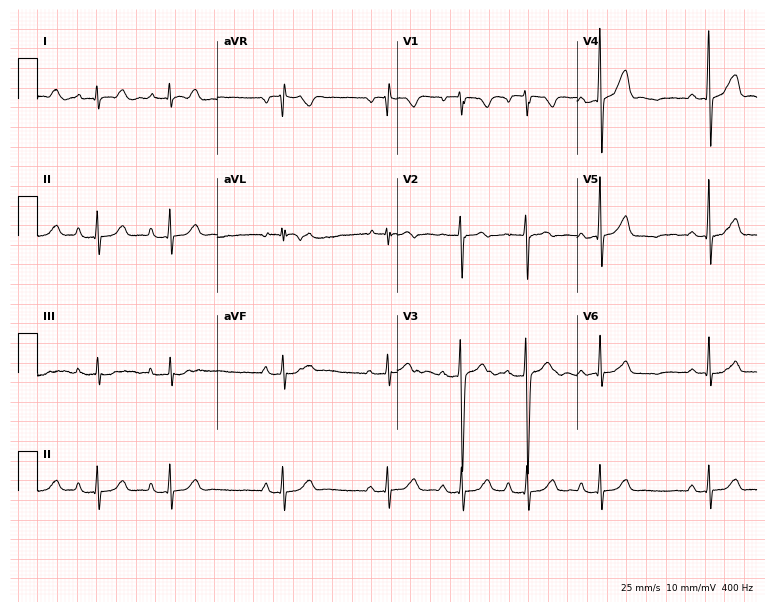
ECG — a 24-year-old man. Screened for six findings — first-degree AV block, right bundle branch block (RBBB), left bundle branch block (LBBB), sinus bradycardia, atrial fibrillation (AF), sinus tachycardia — none is recorded.